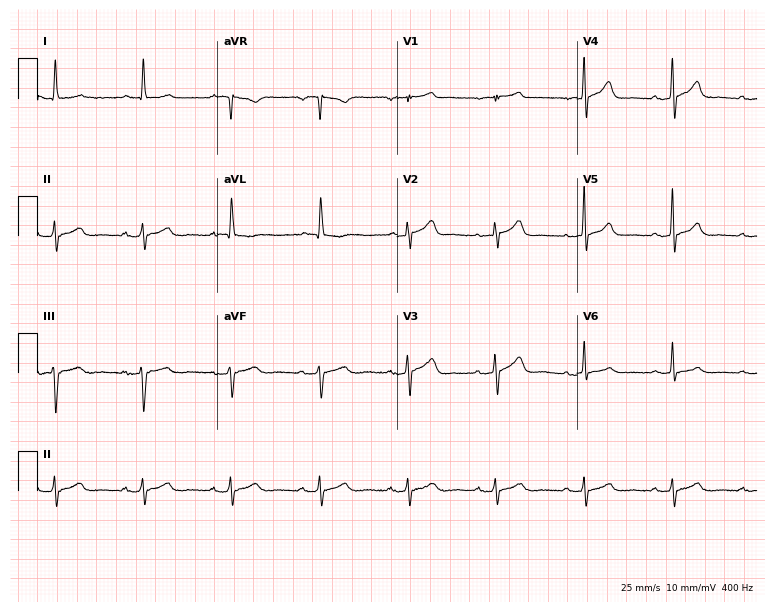
12-lead ECG from a man, 77 years old. Labelled as a normal ECG.